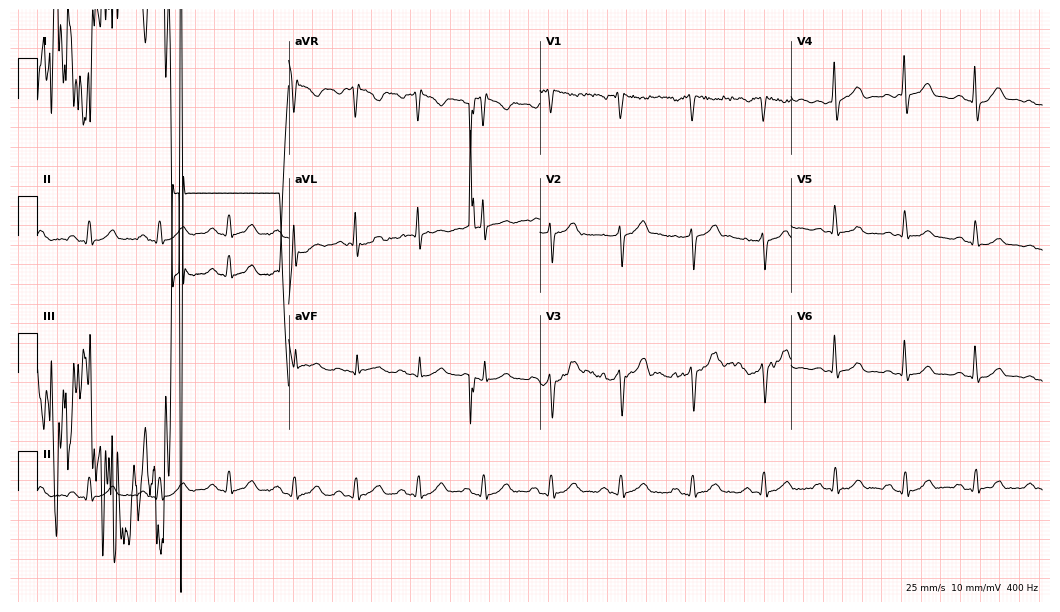
ECG — a 50-year-old man. Screened for six findings — first-degree AV block, right bundle branch block (RBBB), left bundle branch block (LBBB), sinus bradycardia, atrial fibrillation (AF), sinus tachycardia — none is recorded.